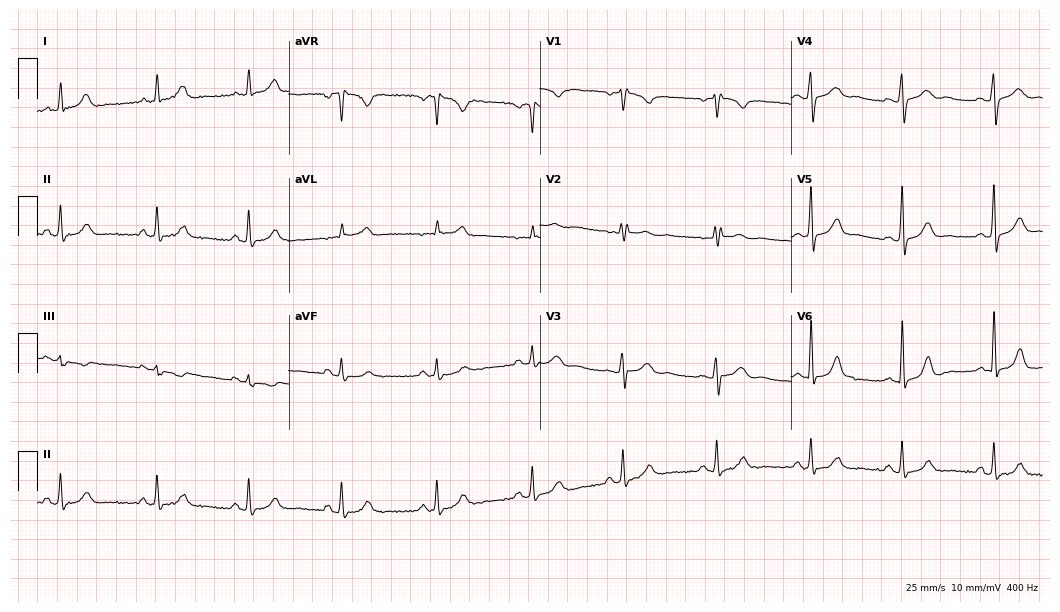
12-lead ECG (10.2-second recording at 400 Hz) from a female patient, 35 years old. Screened for six findings — first-degree AV block, right bundle branch block (RBBB), left bundle branch block (LBBB), sinus bradycardia, atrial fibrillation (AF), sinus tachycardia — none is recorded.